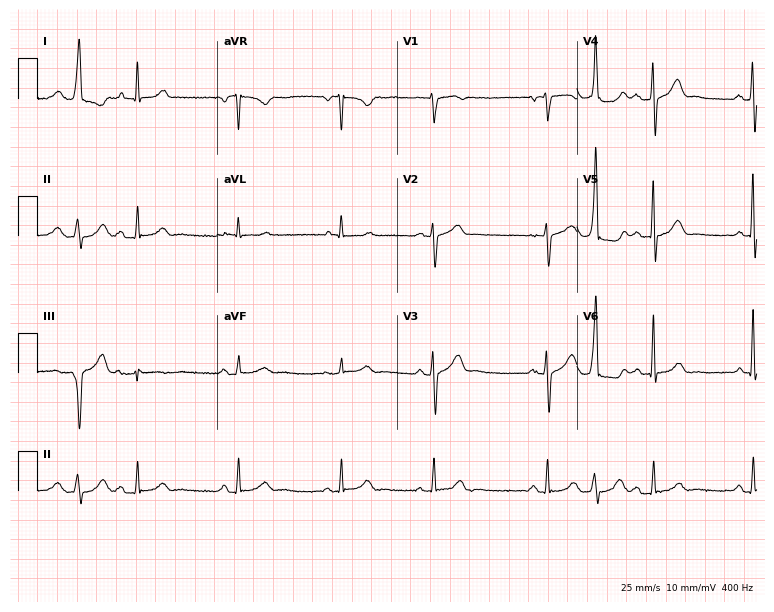
ECG (7.3-second recording at 400 Hz) — a 63-year-old female patient. Screened for six findings — first-degree AV block, right bundle branch block (RBBB), left bundle branch block (LBBB), sinus bradycardia, atrial fibrillation (AF), sinus tachycardia — none is recorded.